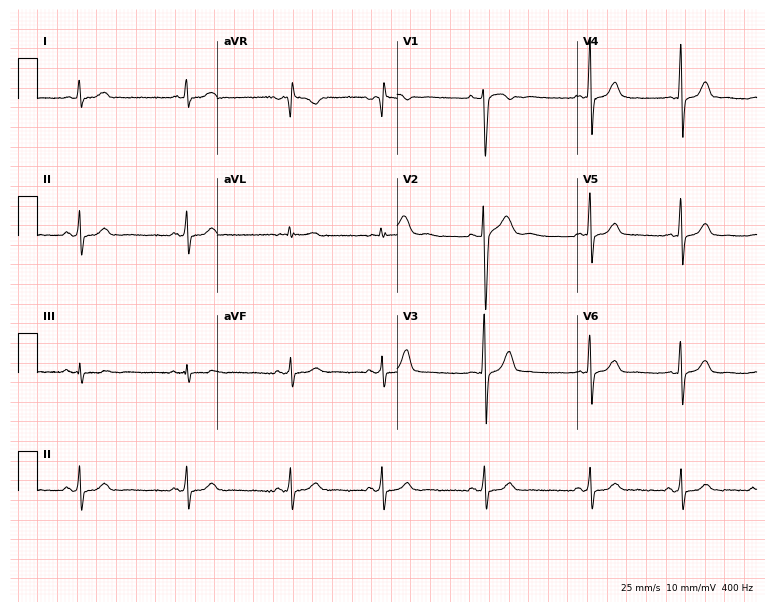
Resting 12-lead electrocardiogram (7.3-second recording at 400 Hz). Patient: a 22-year-old female. None of these six findings is recorded: first-degree AV block, right bundle branch block, left bundle branch block, sinus bradycardia, atrial fibrillation, sinus tachycardia. Only these six findings were labelled.